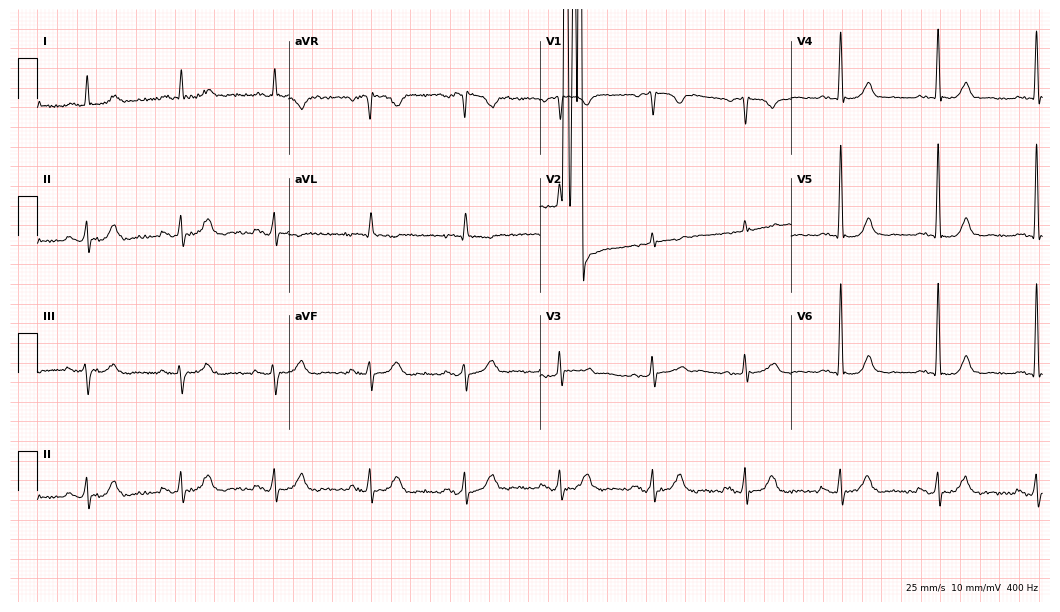
Standard 12-lead ECG recorded from a 75-year-old male patient. None of these six findings is recorded: first-degree AV block, right bundle branch block, left bundle branch block, sinus bradycardia, atrial fibrillation, sinus tachycardia.